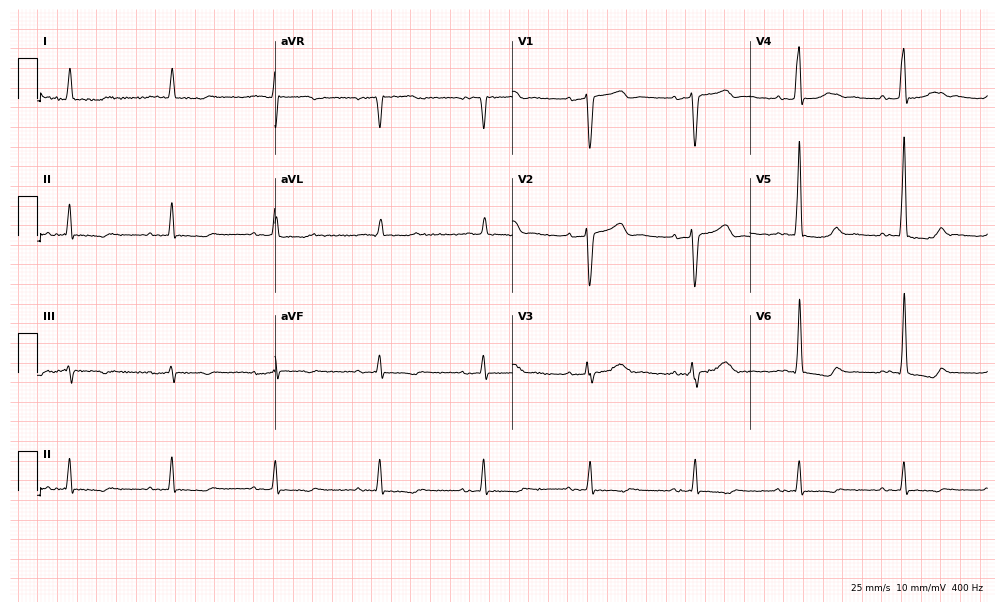
Electrocardiogram, a 73-year-old male patient. Of the six screened findings (first-degree AV block, right bundle branch block, left bundle branch block, sinus bradycardia, atrial fibrillation, sinus tachycardia), none is recorded. Findings outside these six are not listed.